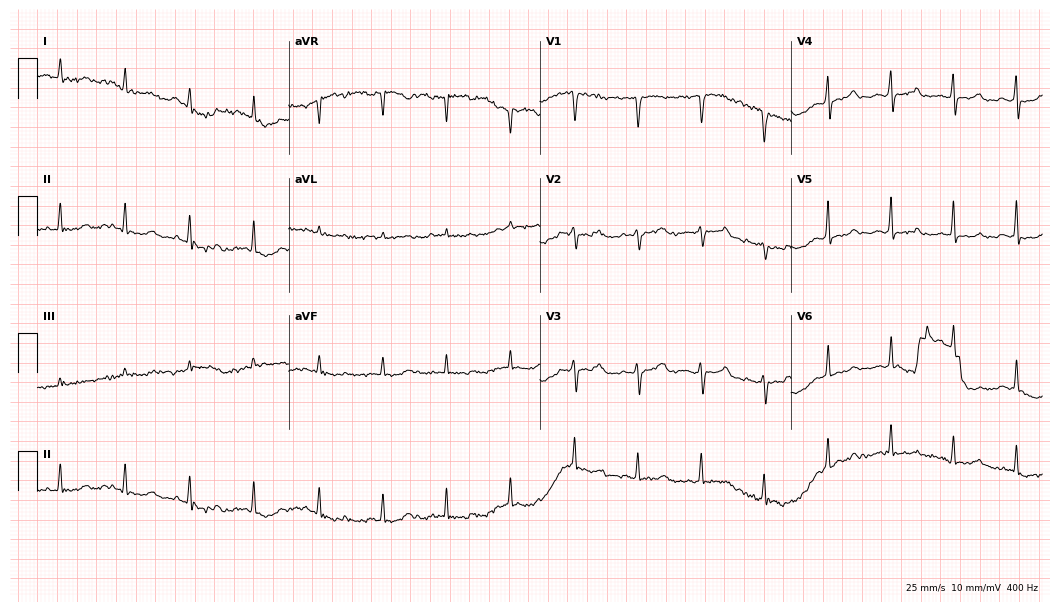
12-lead ECG from a female patient, 63 years old (10.2-second recording at 400 Hz). No first-degree AV block, right bundle branch block (RBBB), left bundle branch block (LBBB), sinus bradycardia, atrial fibrillation (AF) or sinus tachycardia recorded for this tracing. Findings outside these six are not listed.